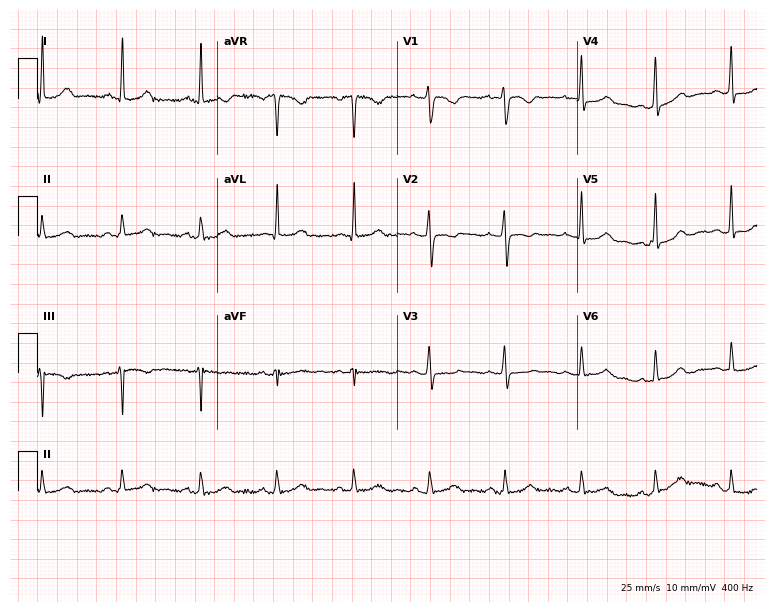
Resting 12-lead electrocardiogram. Patient: a female, 39 years old. Read as a normal ECG.